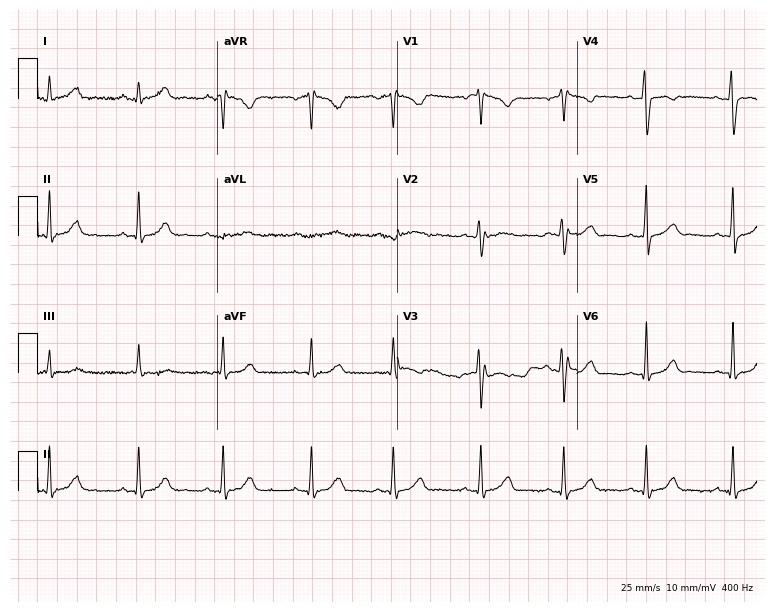
Standard 12-lead ECG recorded from a female, 22 years old. None of these six findings is recorded: first-degree AV block, right bundle branch block, left bundle branch block, sinus bradycardia, atrial fibrillation, sinus tachycardia.